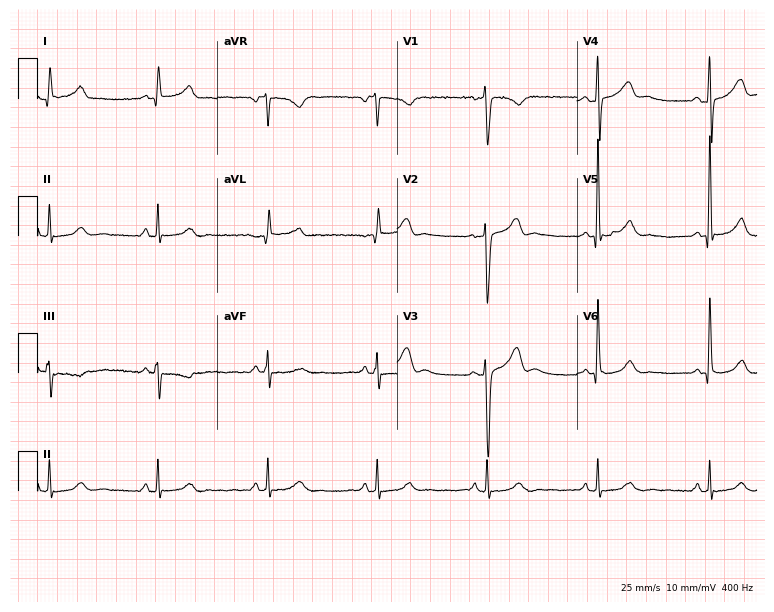
Electrocardiogram, a man, 46 years old. Of the six screened findings (first-degree AV block, right bundle branch block (RBBB), left bundle branch block (LBBB), sinus bradycardia, atrial fibrillation (AF), sinus tachycardia), none is recorded.